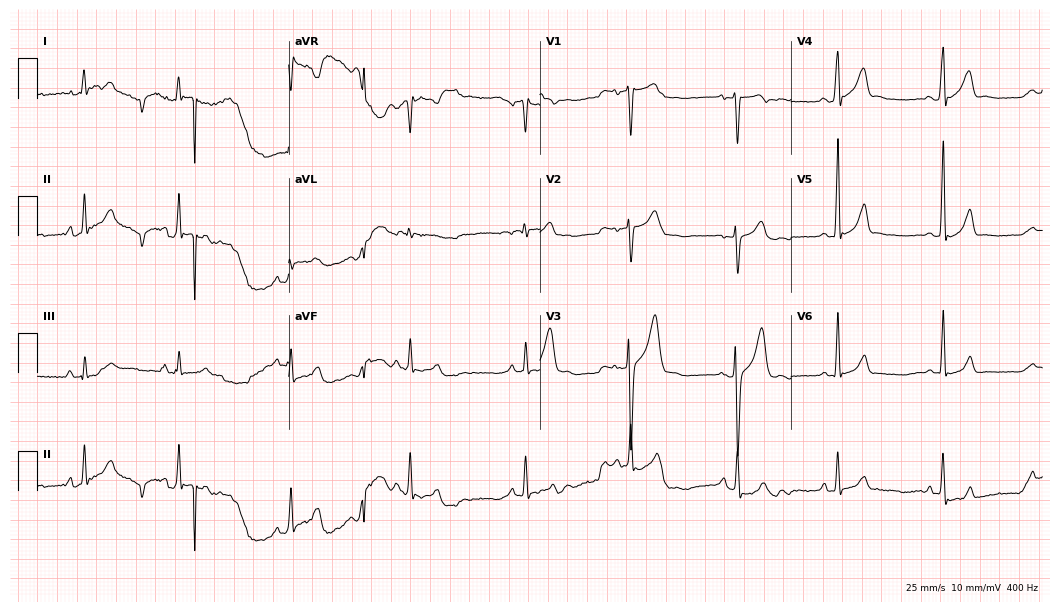
12-lead ECG from a male, 19 years old (10.2-second recording at 400 Hz). No first-degree AV block, right bundle branch block (RBBB), left bundle branch block (LBBB), sinus bradycardia, atrial fibrillation (AF) or sinus tachycardia recorded for this tracing. Findings outside these six are not listed.